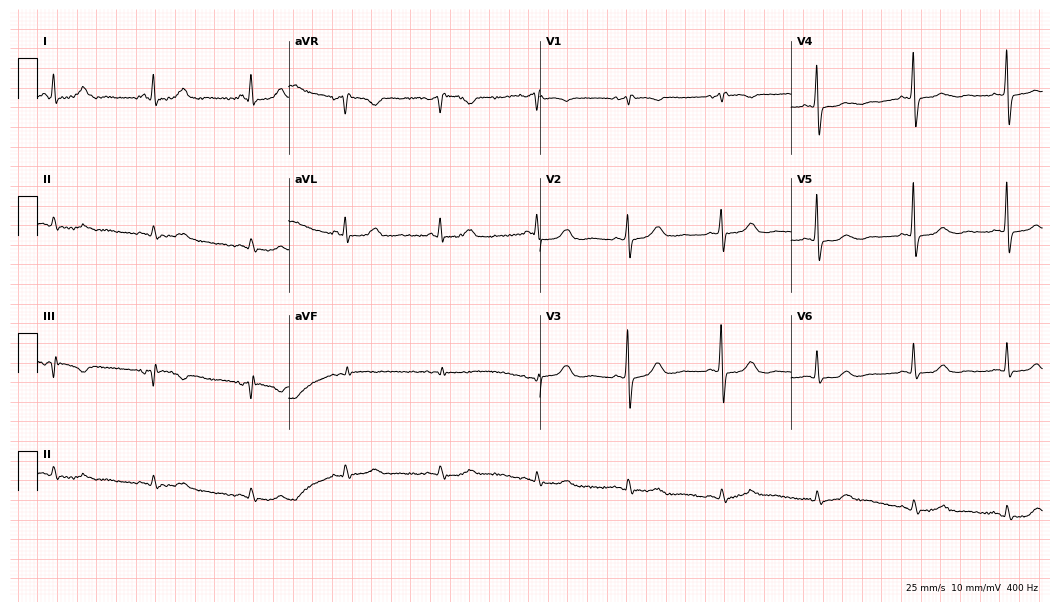
Electrocardiogram (10.2-second recording at 400 Hz), an 81-year-old female. Overall reading on record: normal ECG.